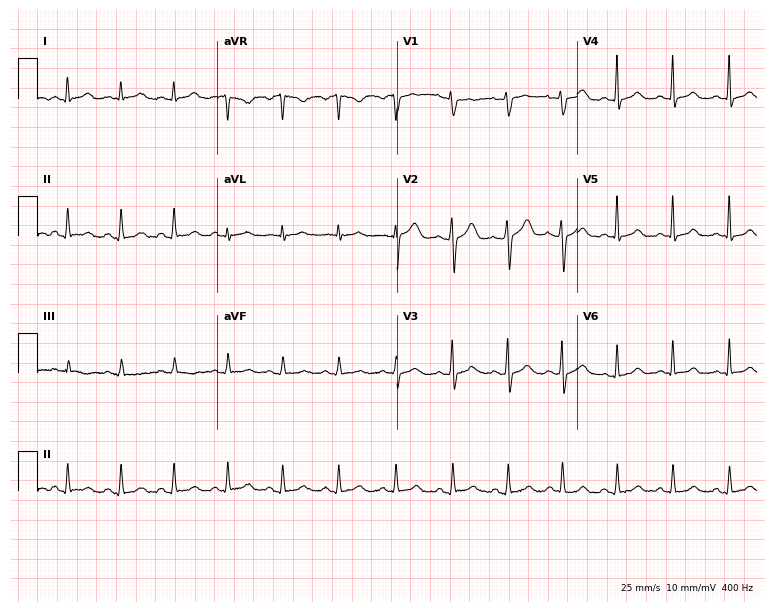
ECG — a 39-year-old woman. Findings include sinus tachycardia (a sinus rate of 100 beats per minute or more).